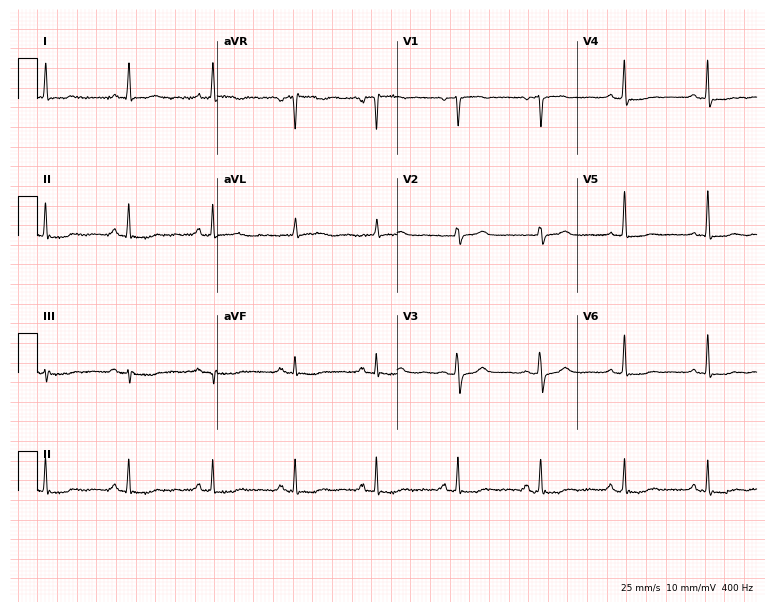
Electrocardiogram, a female, 66 years old. Of the six screened findings (first-degree AV block, right bundle branch block, left bundle branch block, sinus bradycardia, atrial fibrillation, sinus tachycardia), none is recorded.